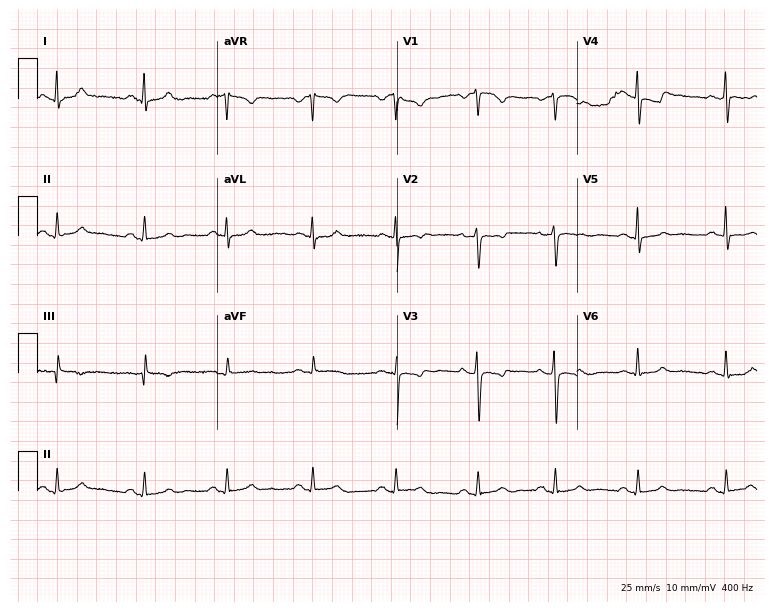
Standard 12-lead ECG recorded from a woman, 39 years old. None of these six findings is recorded: first-degree AV block, right bundle branch block, left bundle branch block, sinus bradycardia, atrial fibrillation, sinus tachycardia. Findings outside these six are not listed.